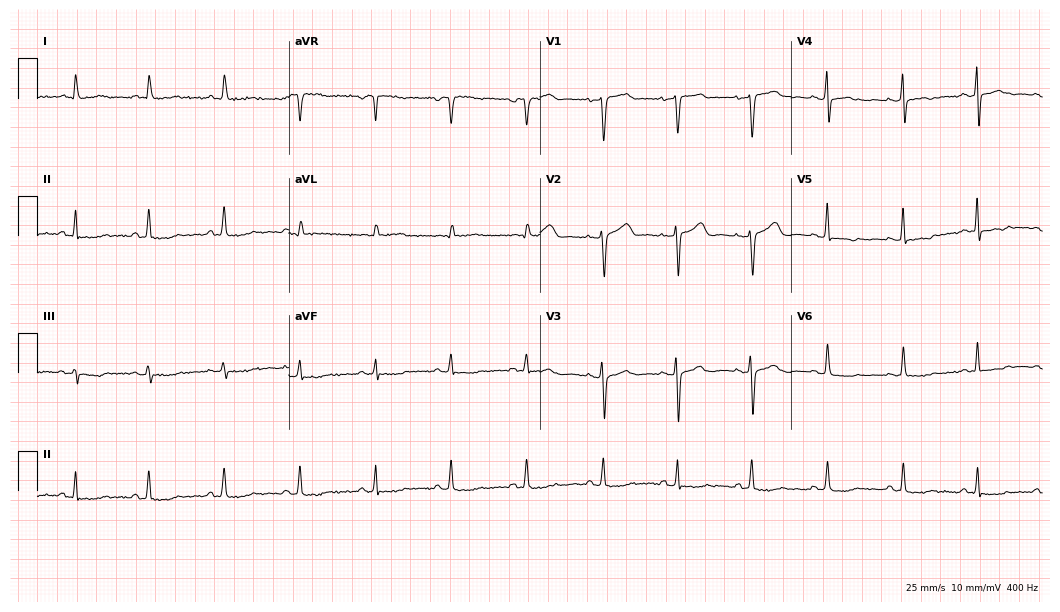
ECG — a 58-year-old female. Screened for six findings — first-degree AV block, right bundle branch block, left bundle branch block, sinus bradycardia, atrial fibrillation, sinus tachycardia — none is recorded. Findings outside these six are not listed.